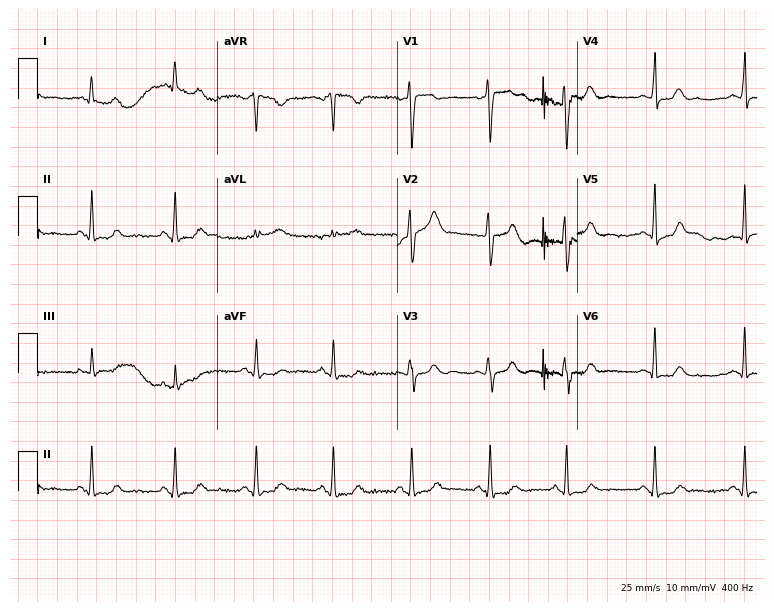
12-lead ECG (7.3-second recording at 400 Hz) from a 41-year-old female. Labelled as a normal ECG.